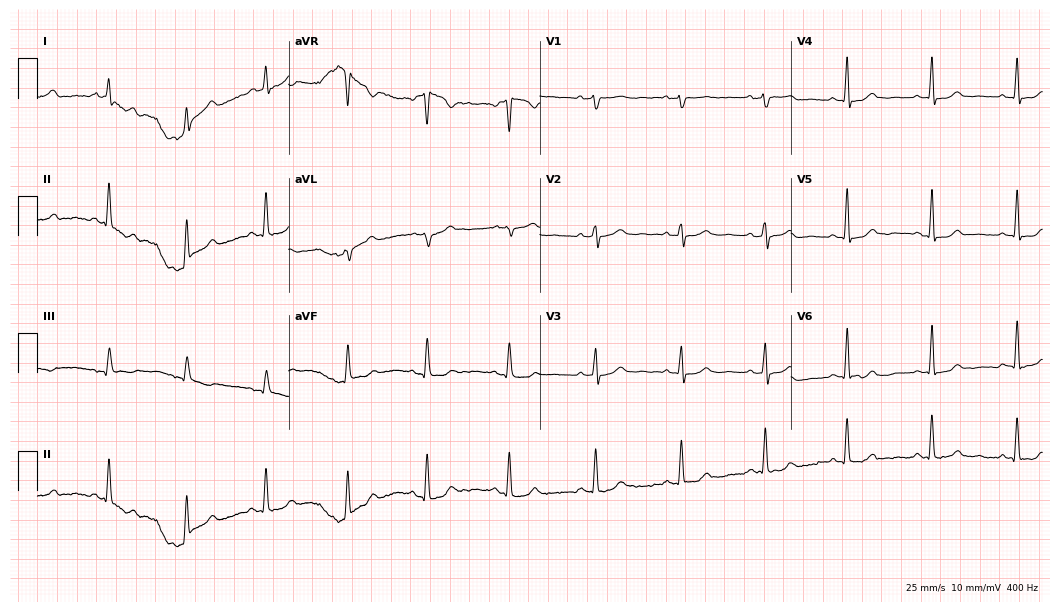
Resting 12-lead electrocardiogram (10.2-second recording at 400 Hz). Patient: a 56-year-old woman. Read as a normal ECG.